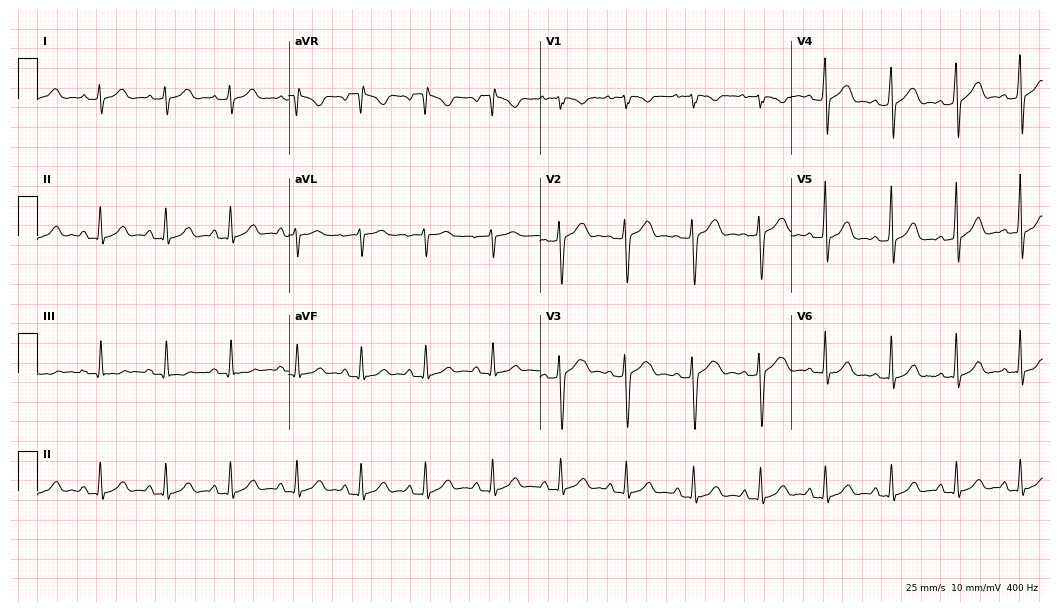
12-lead ECG (10.2-second recording at 400 Hz) from a woman, 24 years old. Labelled as a normal ECG.